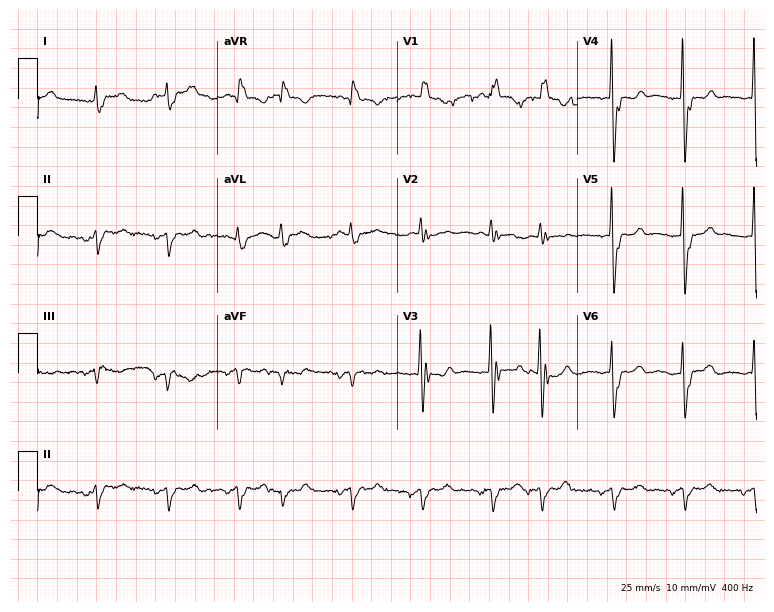
Electrocardiogram, a male patient, 78 years old. Interpretation includes right bundle branch block (RBBB).